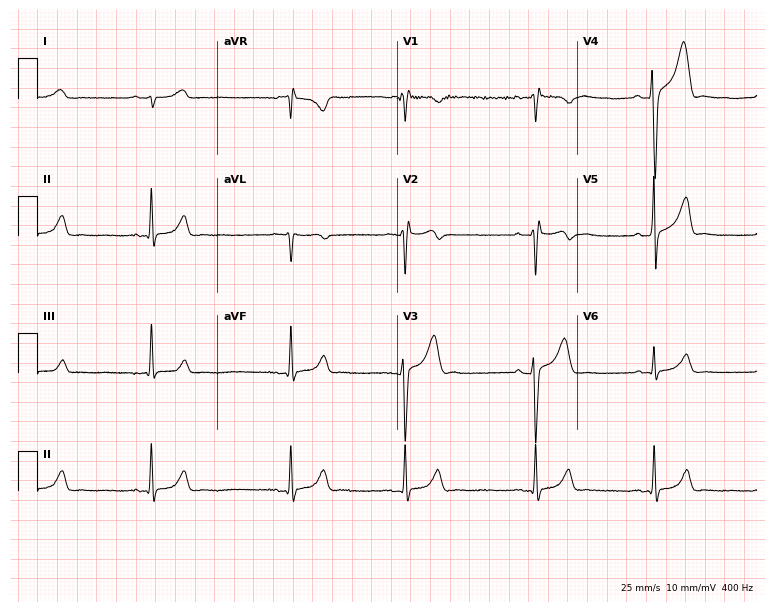
Electrocardiogram (7.3-second recording at 400 Hz), a male patient, 21 years old. Of the six screened findings (first-degree AV block, right bundle branch block (RBBB), left bundle branch block (LBBB), sinus bradycardia, atrial fibrillation (AF), sinus tachycardia), none is recorded.